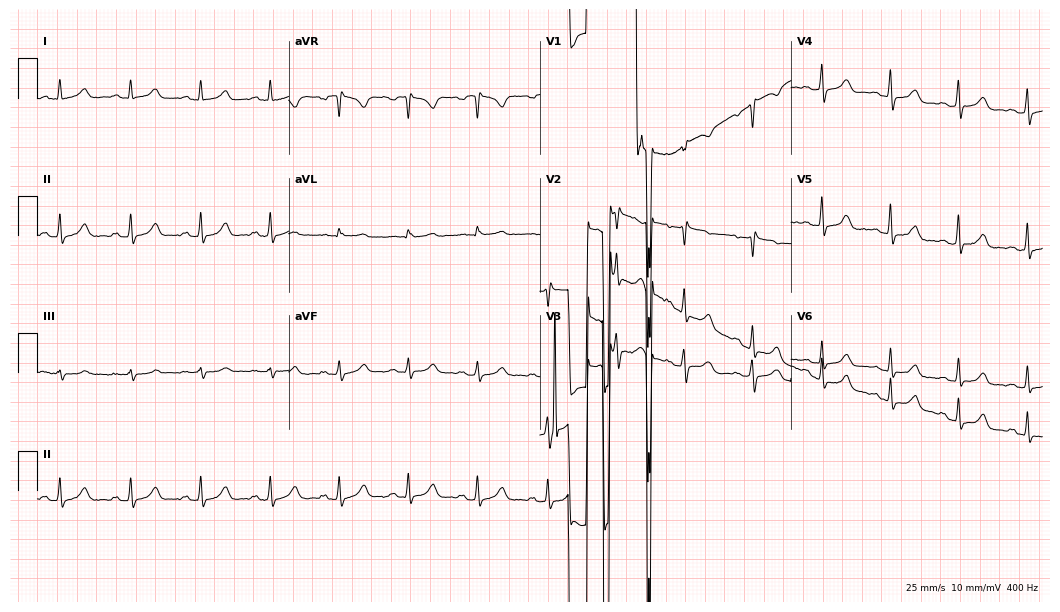
ECG — a female patient, 42 years old. Screened for six findings — first-degree AV block, right bundle branch block, left bundle branch block, sinus bradycardia, atrial fibrillation, sinus tachycardia — none is recorded. Findings outside these six are not listed.